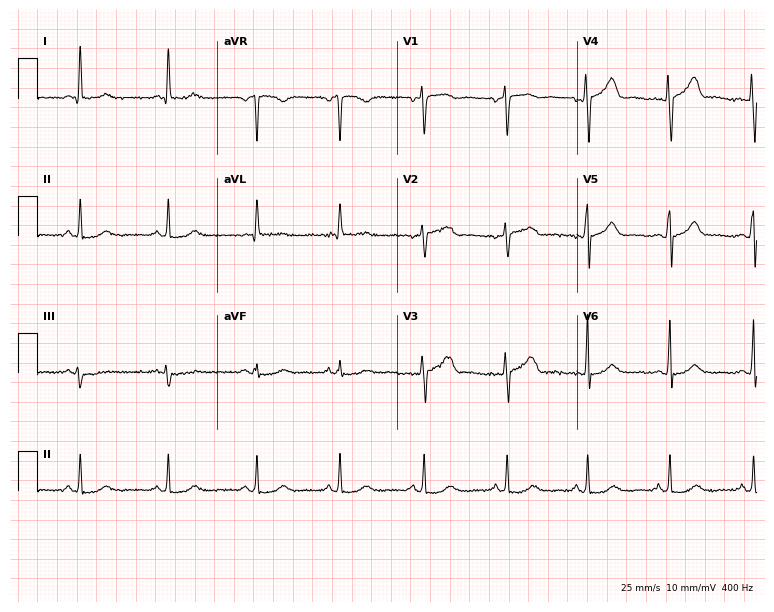
Resting 12-lead electrocardiogram. Patient: a 57-year-old woman. None of these six findings is recorded: first-degree AV block, right bundle branch block, left bundle branch block, sinus bradycardia, atrial fibrillation, sinus tachycardia.